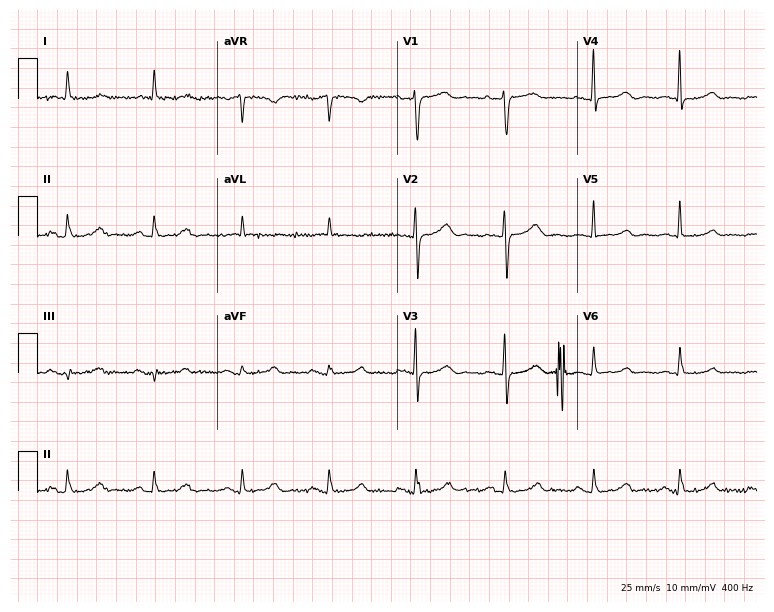
Standard 12-lead ECG recorded from a female, 78 years old. None of these six findings is recorded: first-degree AV block, right bundle branch block, left bundle branch block, sinus bradycardia, atrial fibrillation, sinus tachycardia.